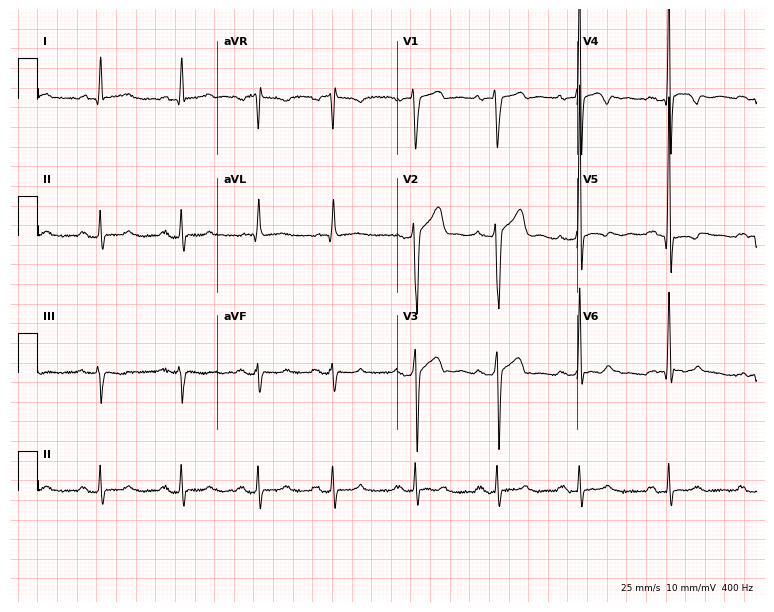
12-lead ECG (7.3-second recording at 400 Hz) from a 58-year-old man. Screened for six findings — first-degree AV block, right bundle branch block, left bundle branch block, sinus bradycardia, atrial fibrillation, sinus tachycardia — none is recorded.